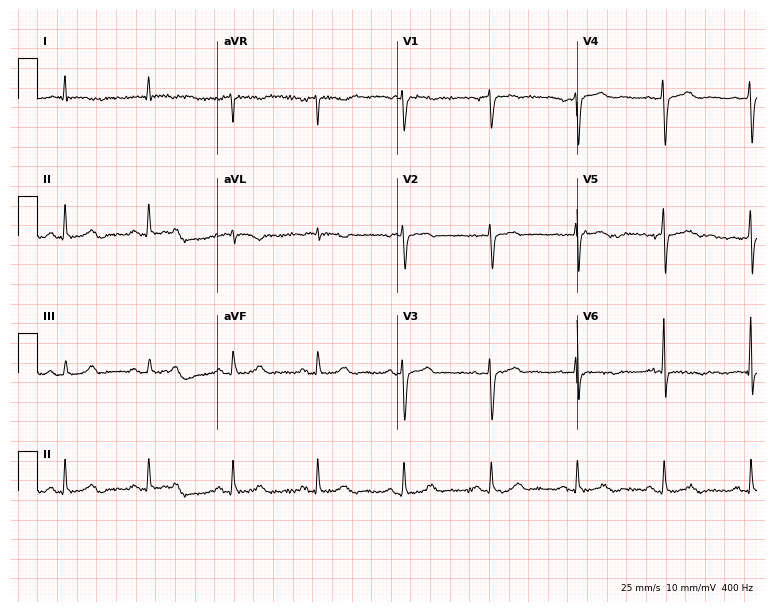
12-lead ECG (7.3-second recording at 400 Hz) from a man, 74 years old. Screened for six findings — first-degree AV block, right bundle branch block, left bundle branch block, sinus bradycardia, atrial fibrillation, sinus tachycardia — none is recorded. Findings outside these six are not listed.